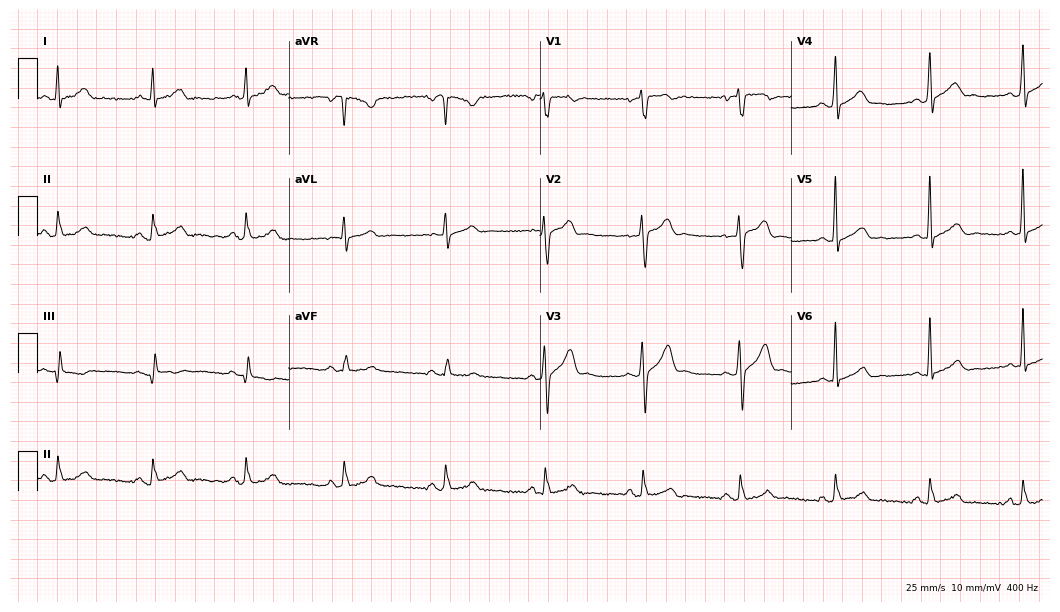
Resting 12-lead electrocardiogram. Patient: a male, 39 years old. Read as a normal ECG.